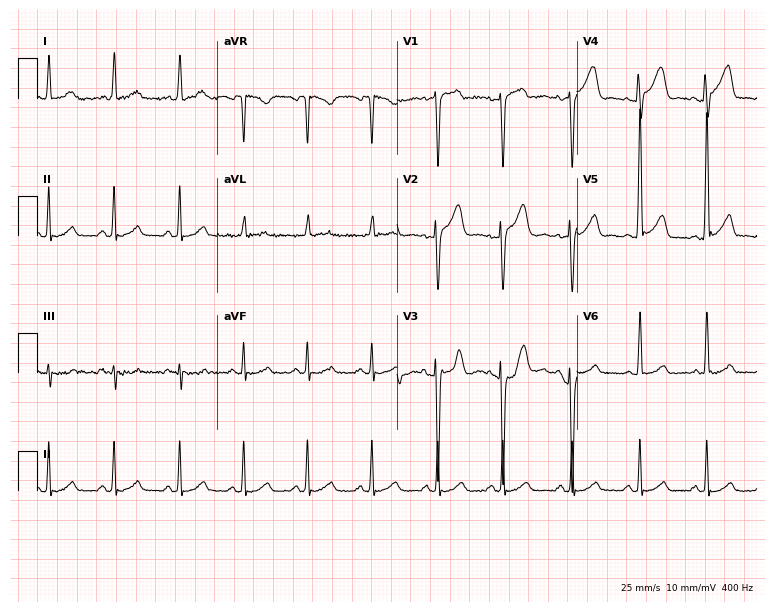
12-lead ECG (7.3-second recording at 400 Hz) from a 30-year-old man. Labelled as a normal ECG.